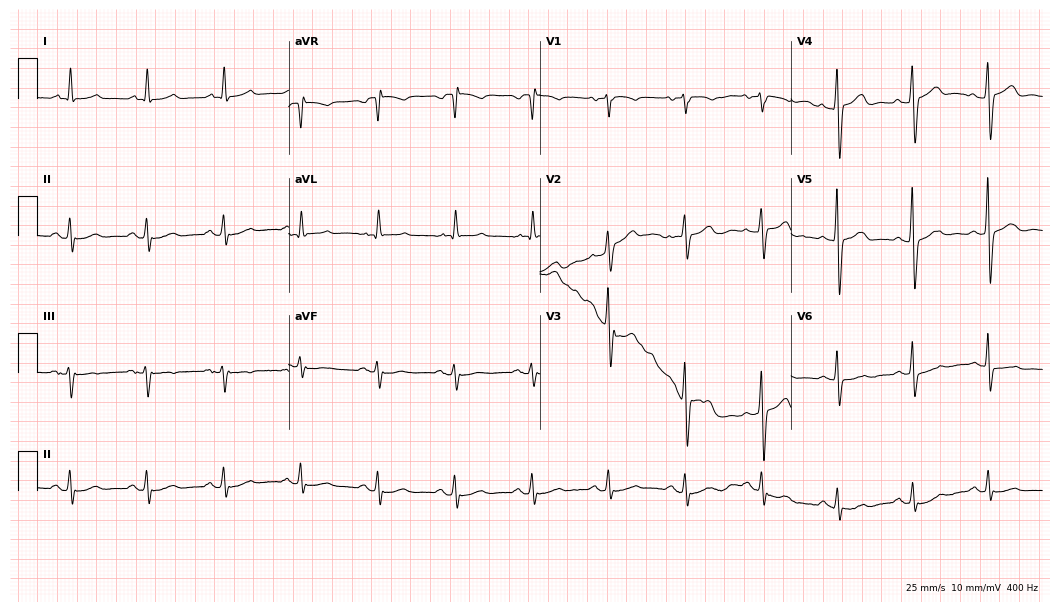
Standard 12-lead ECG recorded from an 82-year-old man (10.2-second recording at 400 Hz). None of these six findings is recorded: first-degree AV block, right bundle branch block (RBBB), left bundle branch block (LBBB), sinus bradycardia, atrial fibrillation (AF), sinus tachycardia.